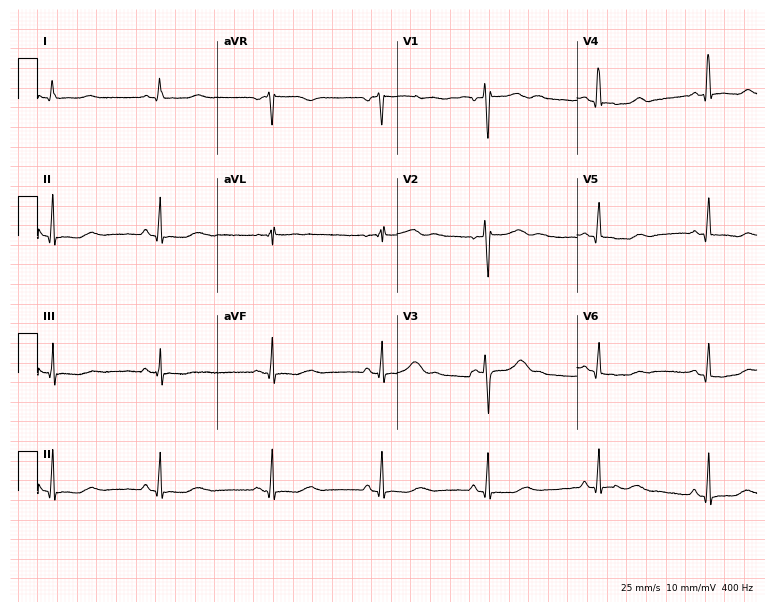
ECG (7.3-second recording at 400 Hz) — a 39-year-old woman. Screened for six findings — first-degree AV block, right bundle branch block, left bundle branch block, sinus bradycardia, atrial fibrillation, sinus tachycardia — none is recorded.